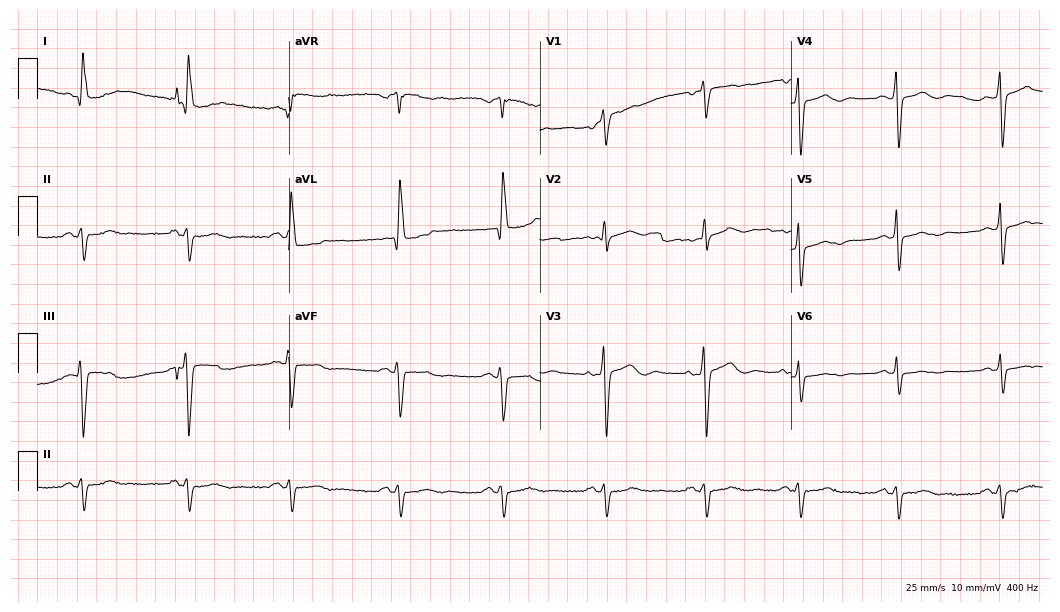
Resting 12-lead electrocardiogram (10.2-second recording at 400 Hz). Patient: a female, 69 years old. None of these six findings is recorded: first-degree AV block, right bundle branch block, left bundle branch block, sinus bradycardia, atrial fibrillation, sinus tachycardia. Only these six findings were labelled.